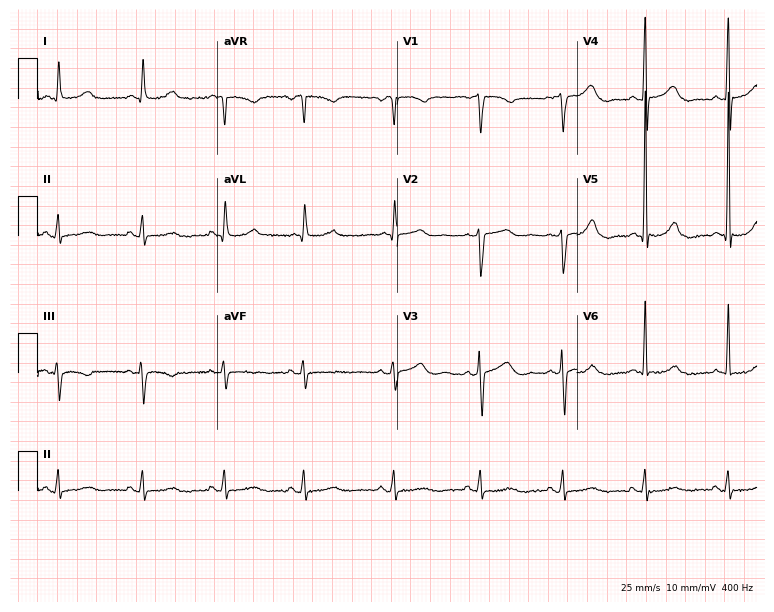
Resting 12-lead electrocardiogram. Patient: a male, 48 years old. None of these six findings is recorded: first-degree AV block, right bundle branch block, left bundle branch block, sinus bradycardia, atrial fibrillation, sinus tachycardia.